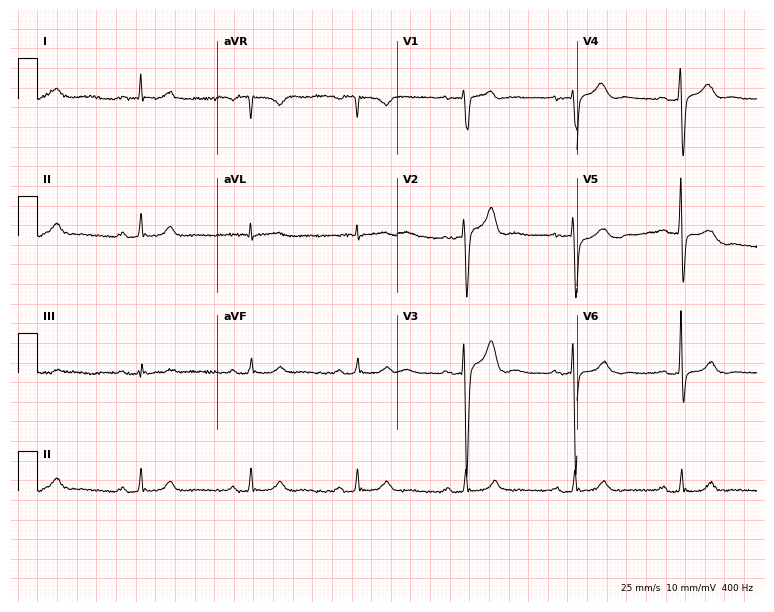
Resting 12-lead electrocardiogram (7.3-second recording at 400 Hz). Patient: a male, 55 years old. Read as a normal ECG.